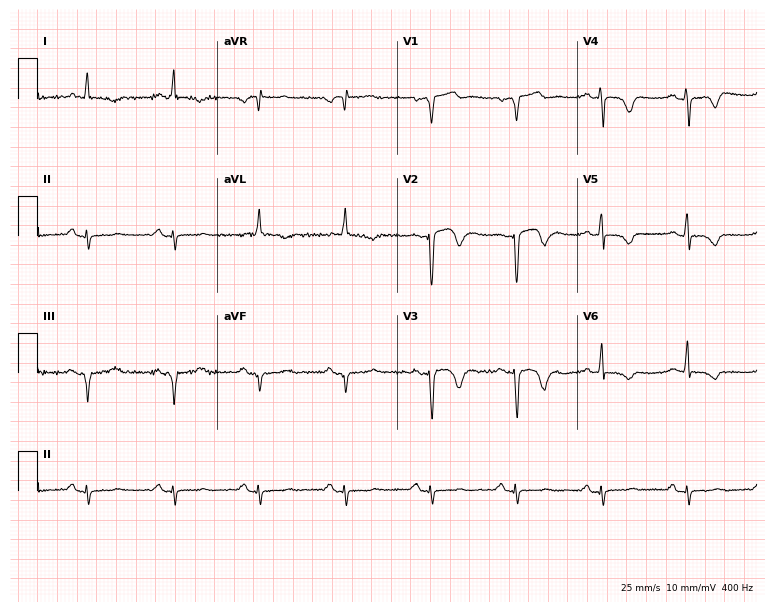
ECG — a 72-year-old man. Screened for six findings — first-degree AV block, right bundle branch block, left bundle branch block, sinus bradycardia, atrial fibrillation, sinus tachycardia — none is recorded. Findings outside these six are not listed.